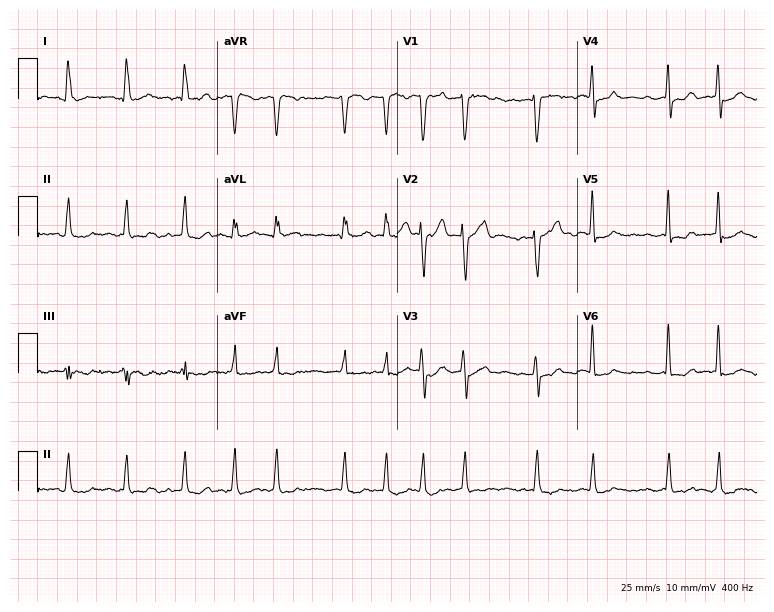
12-lead ECG (7.3-second recording at 400 Hz) from a female, 71 years old. Findings include atrial fibrillation (AF).